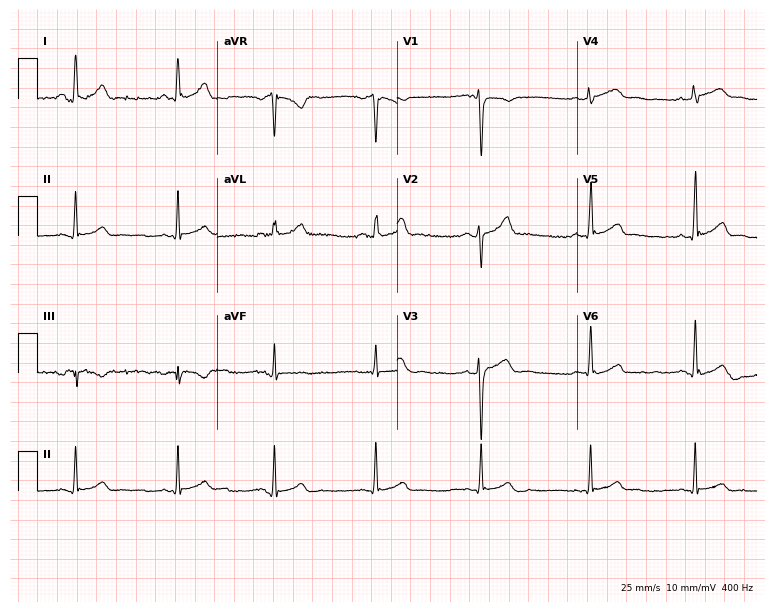
Electrocardiogram (7.3-second recording at 400 Hz), a 31-year-old man. Overall reading on record: normal ECG.